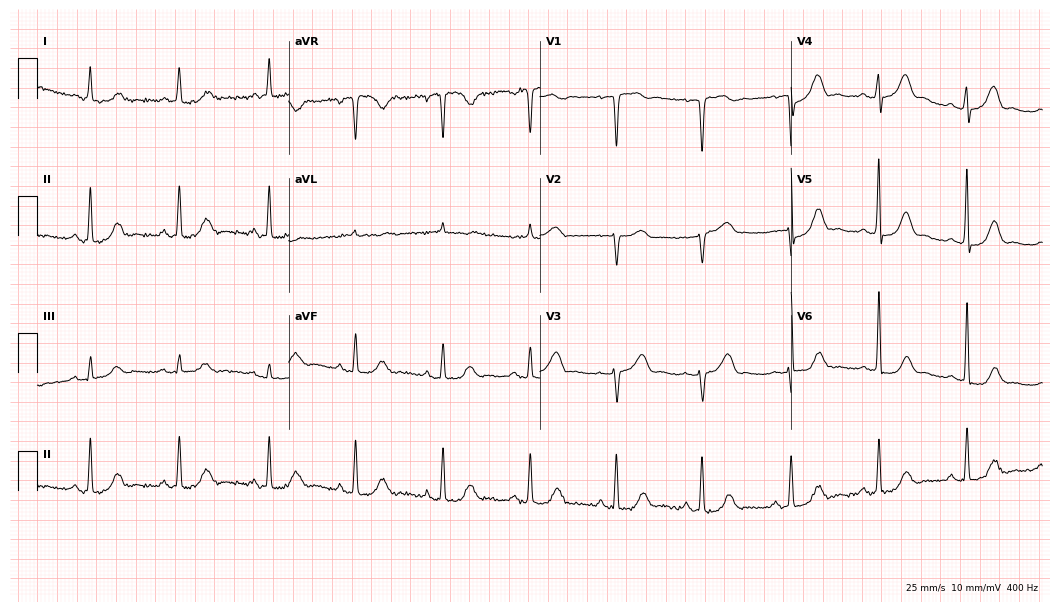
12-lead ECG from a 61-year-old woman. Labelled as a normal ECG.